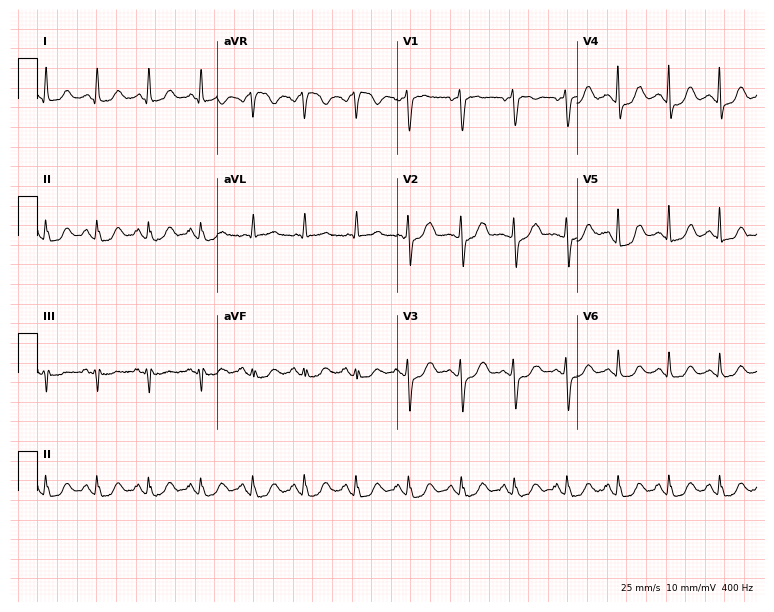
ECG — a 61-year-old female. Findings include sinus tachycardia (a sinus rate of 100 beats per minute or more).